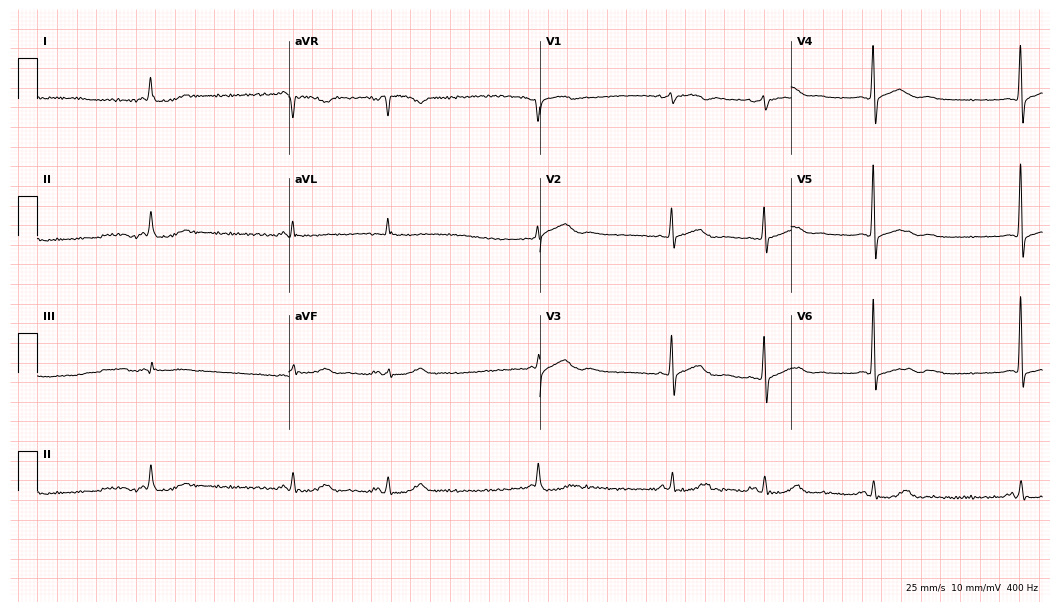
Electrocardiogram (10.2-second recording at 400 Hz), a female, 59 years old. Interpretation includes first-degree AV block, sinus bradycardia (a sinus rate of 50 beats per minute or less).